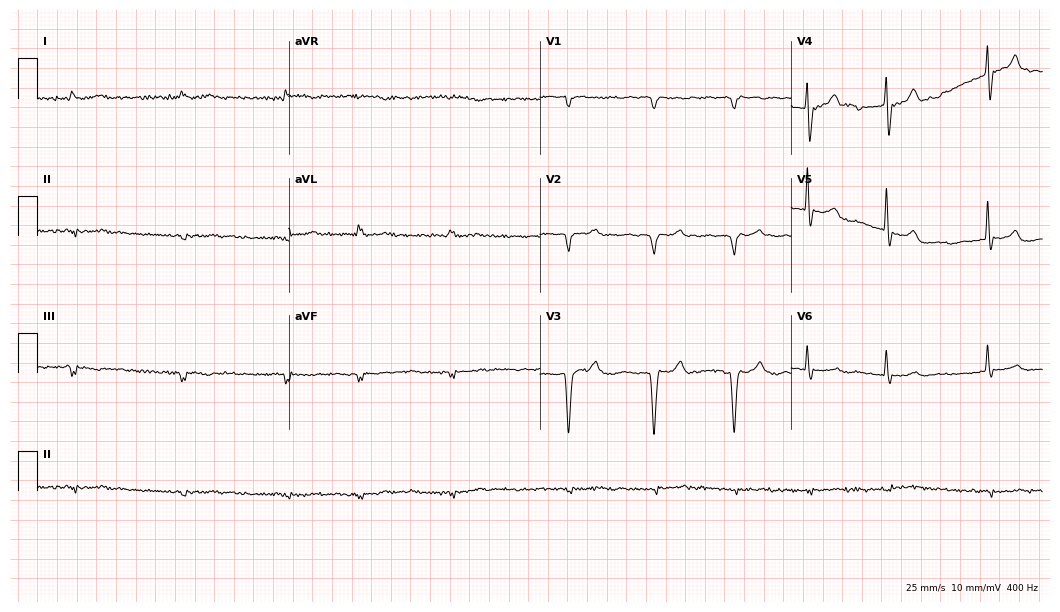
Resting 12-lead electrocardiogram. Patient: a man, 79 years old. The tracing shows atrial fibrillation (AF).